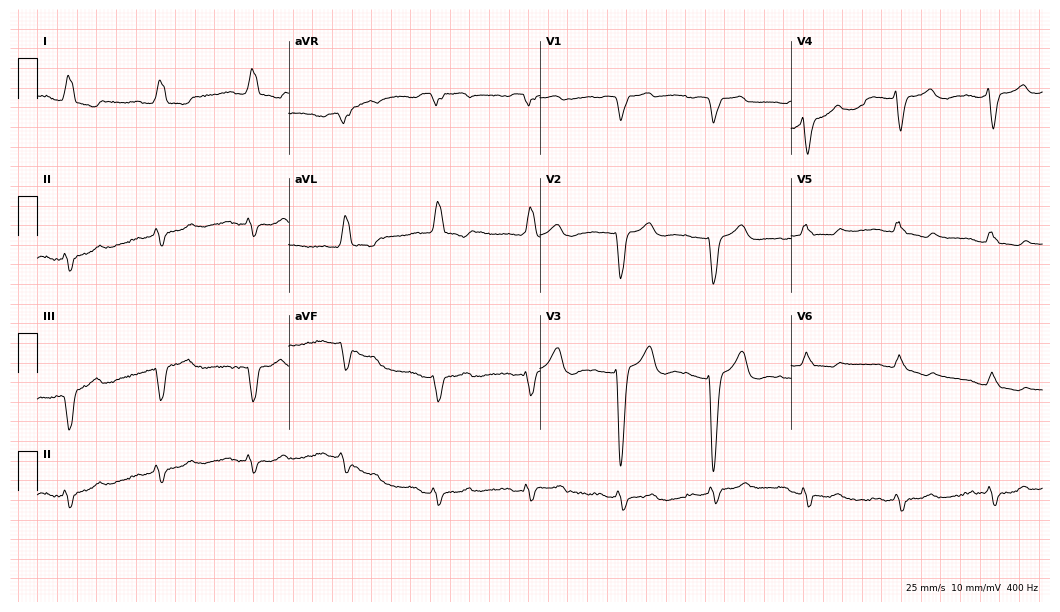
12-lead ECG from a female patient, 82 years old (10.2-second recording at 400 Hz). No first-degree AV block, right bundle branch block, left bundle branch block, sinus bradycardia, atrial fibrillation or sinus tachycardia recorded for this tracing. Only these six findings were labelled.